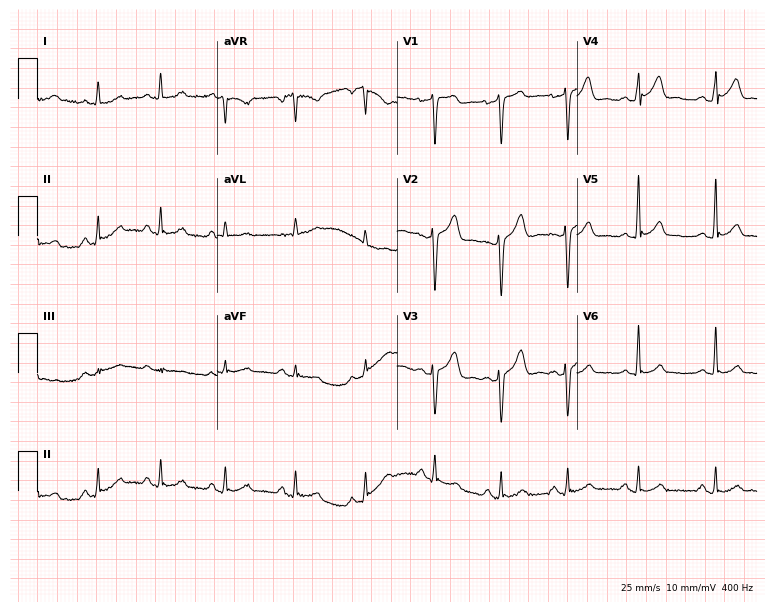
Standard 12-lead ECG recorded from a 42-year-old male (7.3-second recording at 400 Hz). Read as a normal ECG.